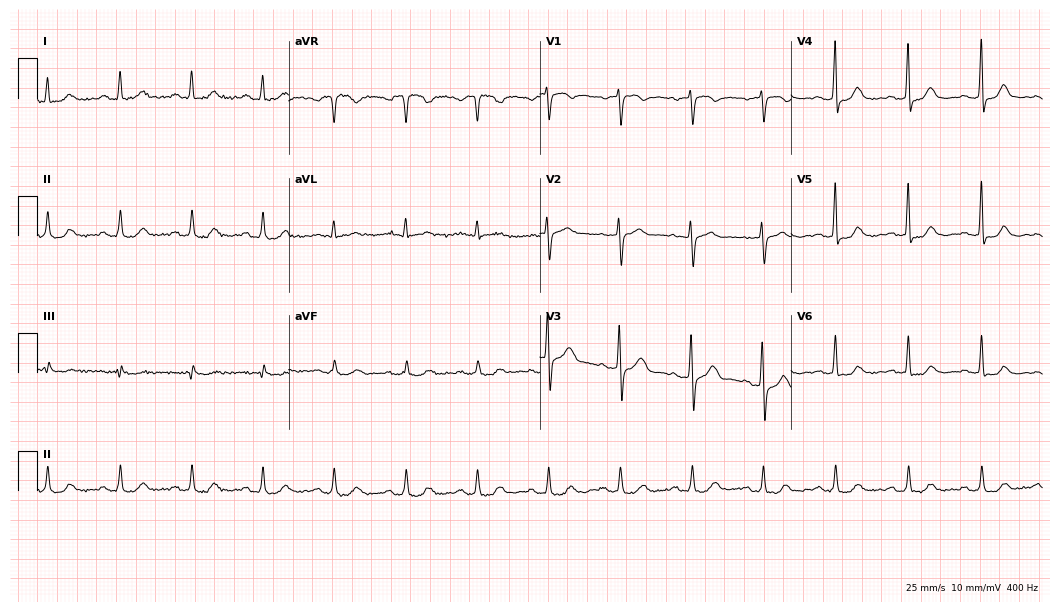
Standard 12-lead ECG recorded from a female, 52 years old. Read as a normal ECG.